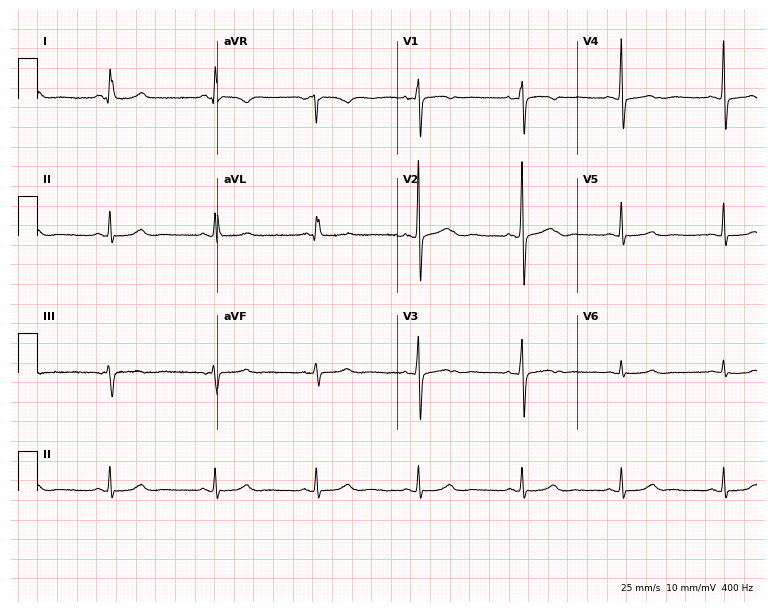
Resting 12-lead electrocardiogram. Patient: a 68-year-old woman. None of these six findings is recorded: first-degree AV block, right bundle branch block, left bundle branch block, sinus bradycardia, atrial fibrillation, sinus tachycardia. Only these six findings were labelled.